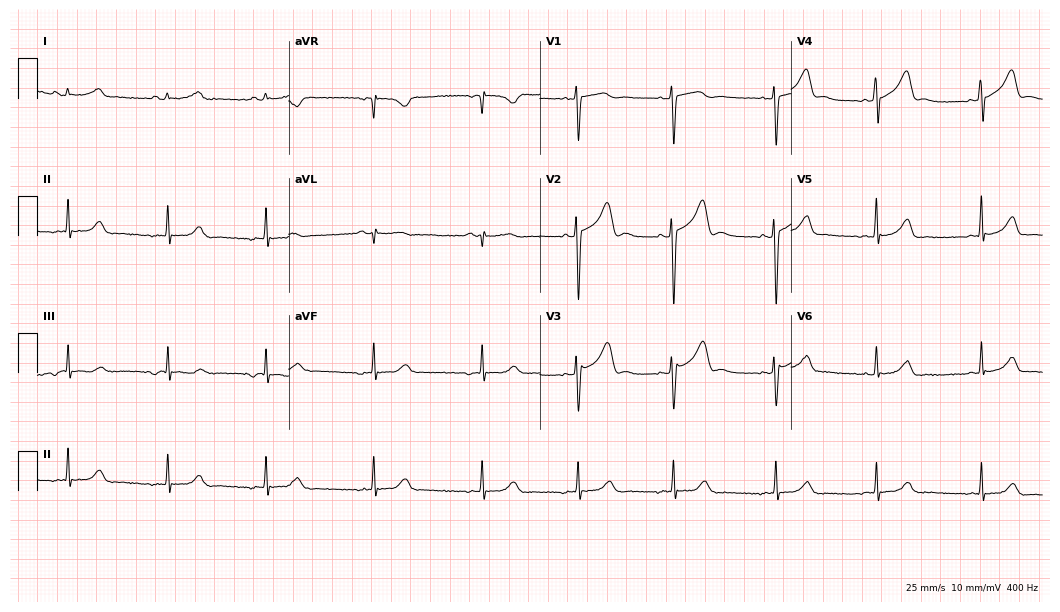
Resting 12-lead electrocardiogram (10.2-second recording at 400 Hz). Patient: a 38-year-old woman. None of these six findings is recorded: first-degree AV block, right bundle branch block, left bundle branch block, sinus bradycardia, atrial fibrillation, sinus tachycardia.